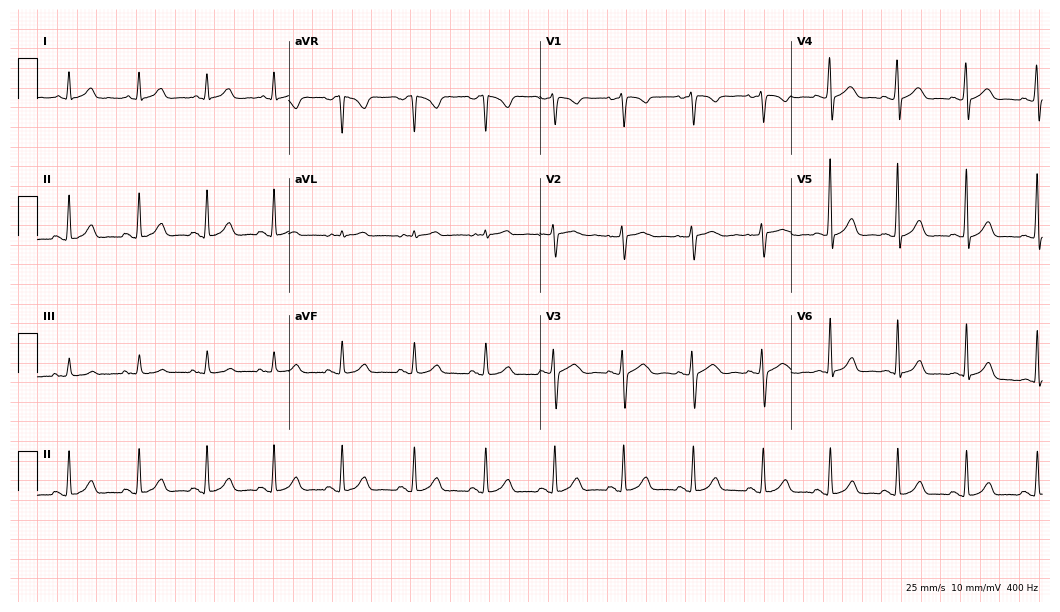
Electrocardiogram, a 35-year-old female. Of the six screened findings (first-degree AV block, right bundle branch block, left bundle branch block, sinus bradycardia, atrial fibrillation, sinus tachycardia), none is recorded.